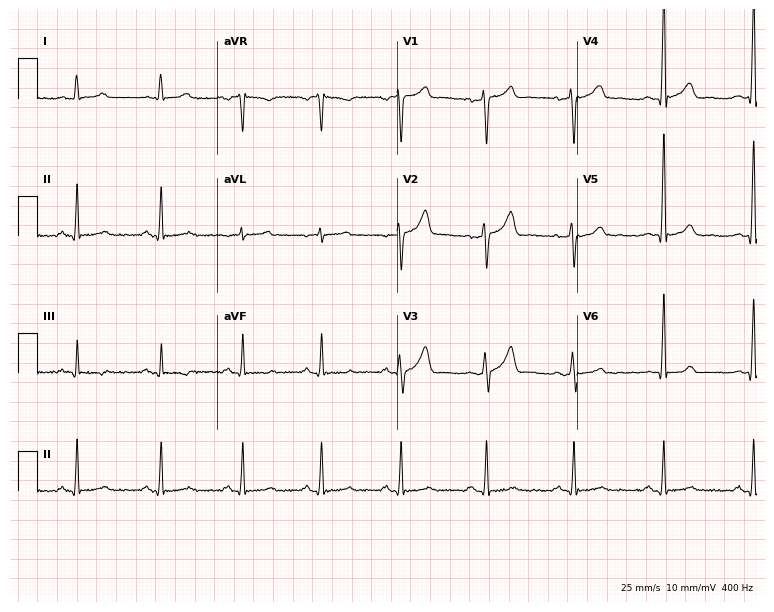
12-lead ECG (7.3-second recording at 400 Hz) from a 49-year-old man. Screened for six findings — first-degree AV block, right bundle branch block (RBBB), left bundle branch block (LBBB), sinus bradycardia, atrial fibrillation (AF), sinus tachycardia — none is recorded. Other findings, if any, are not listed.